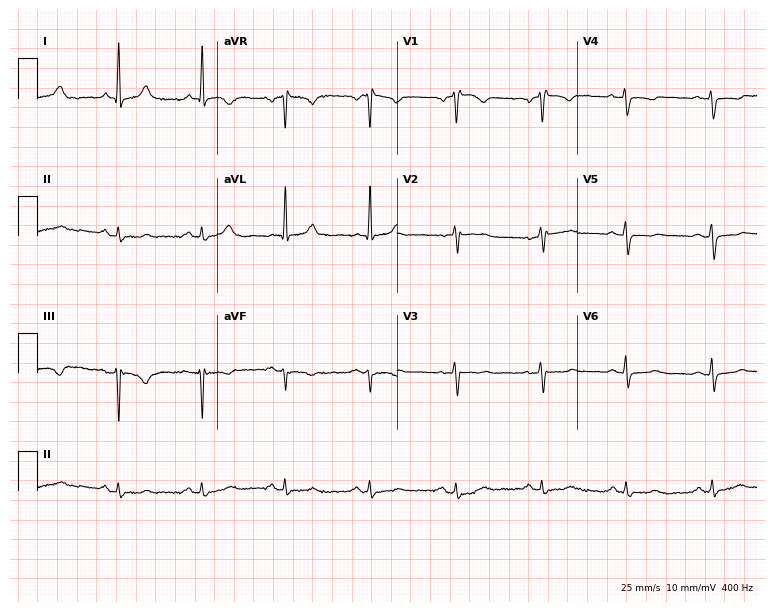
12-lead ECG from a 67-year-old female patient. Screened for six findings — first-degree AV block, right bundle branch block, left bundle branch block, sinus bradycardia, atrial fibrillation, sinus tachycardia — none is recorded.